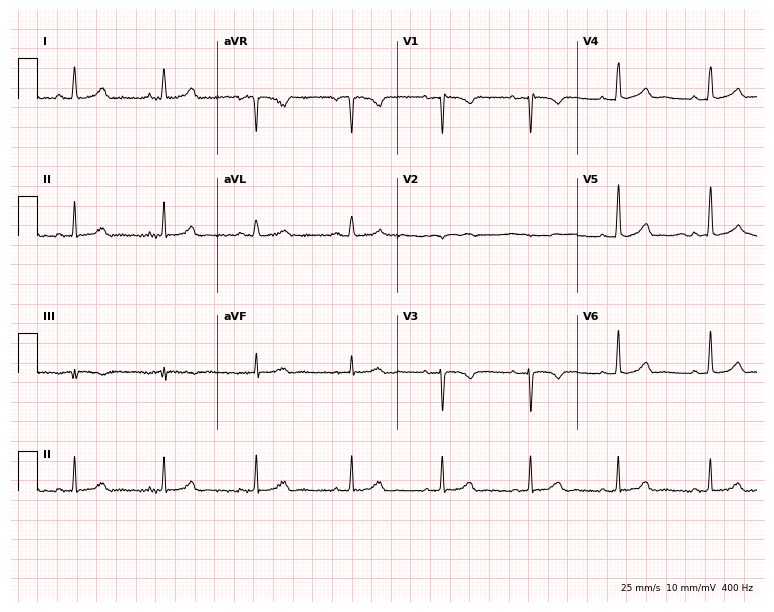
ECG (7.3-second recording at 400 Hz) — a woman, 21 years old. Labelled as a normal ECG.